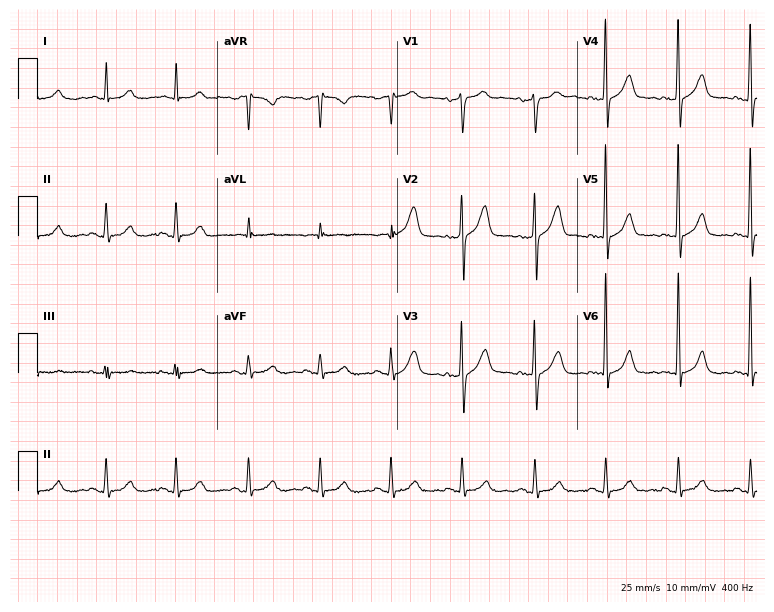
Standard 12-lead ECG recorded from a male patient, 61 years old. Read as a normal ECG.